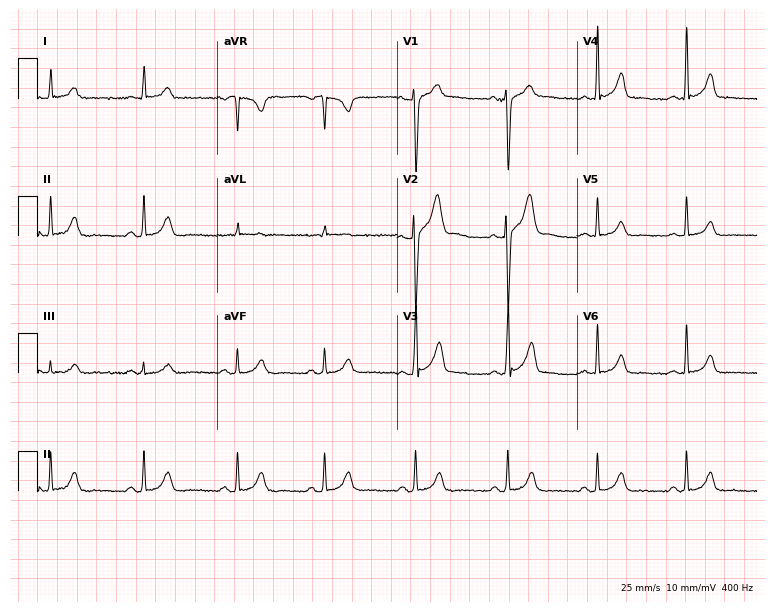
Resting 12-lead electrocardiogram. Patient: a 35-year-old male. Read as a normal ECG.